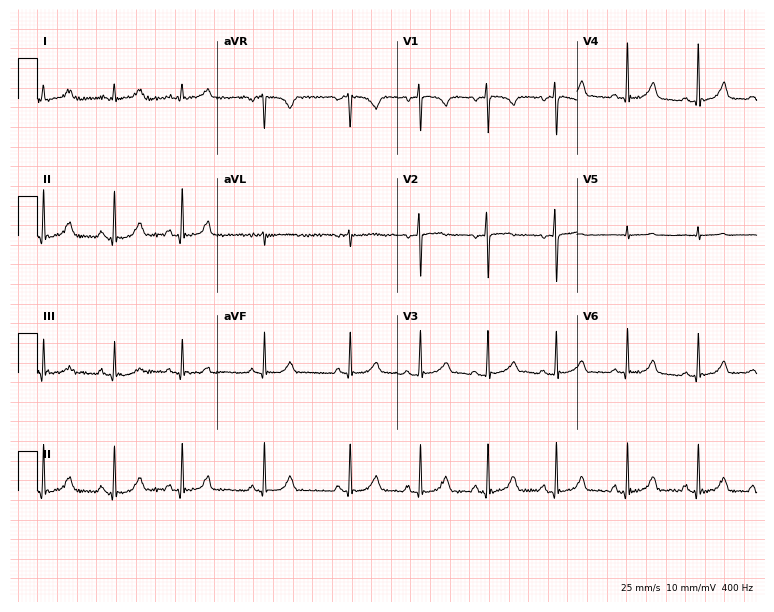
12-lead ECG (7.3-second recording at 400 Hz) from a female, 18 years old. Labelled as a normal ECG.